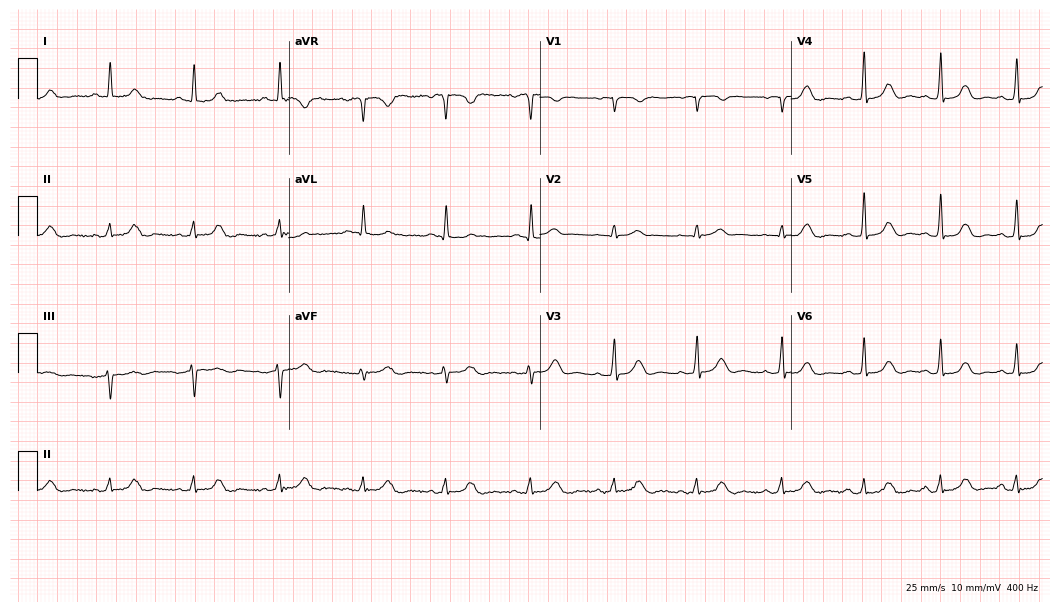
ECG — a female, 74 years old. Labelled as a normal ECG.